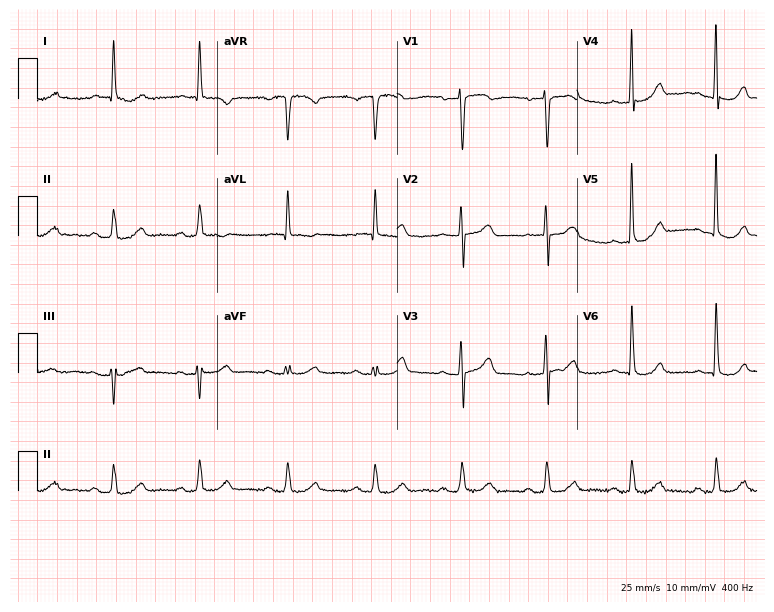
Resting 12-lead electrocardiogram. Patient: a female, 60 years old. None of these six findings is recorded: first-degree AV block, right bundle branch block, left bundle branch block, sinus bradycardia, atrial fibrillation, sinus tachycardia. Other findings, if any, are not listed.